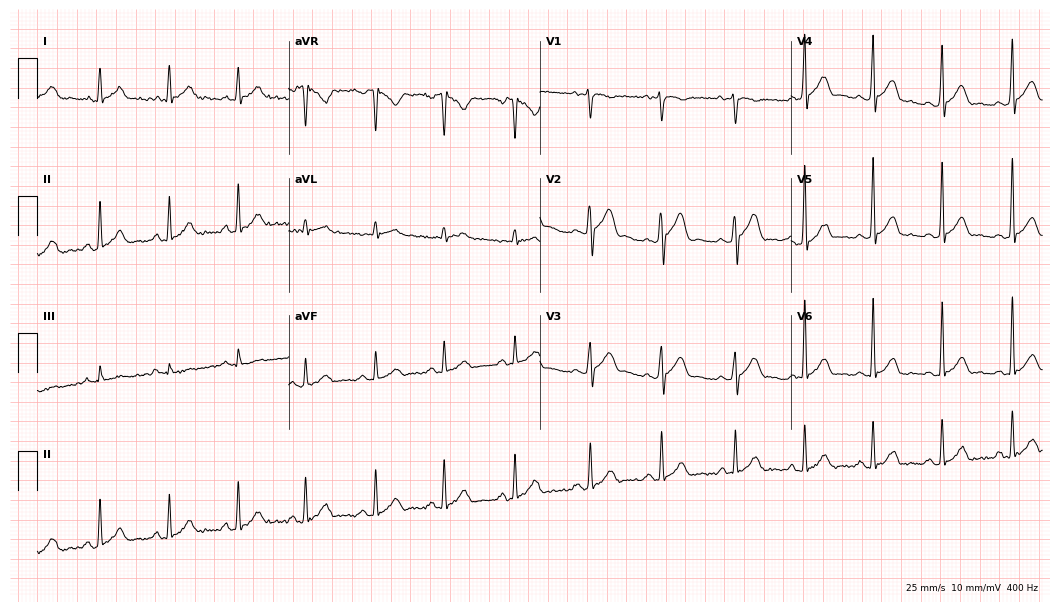
12-lead ECG from a 30-year-old male patient (10.2-second recording at 400 Hz). No first-degree AV block, right bundle branch block, left bundle branch block, sinus bradycardia, atrial fibrillation or sinus tachycardia recorded for this tracing. Only these six findings were labelled.